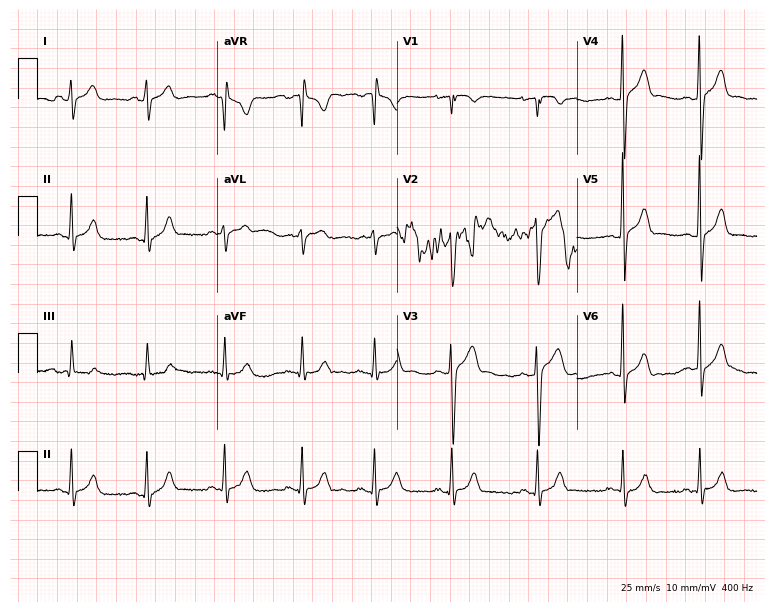
12-lead ECG from an 18-year-old male (7.3-second recording at 400 Hz). Recorded interpretation: within normal limits.